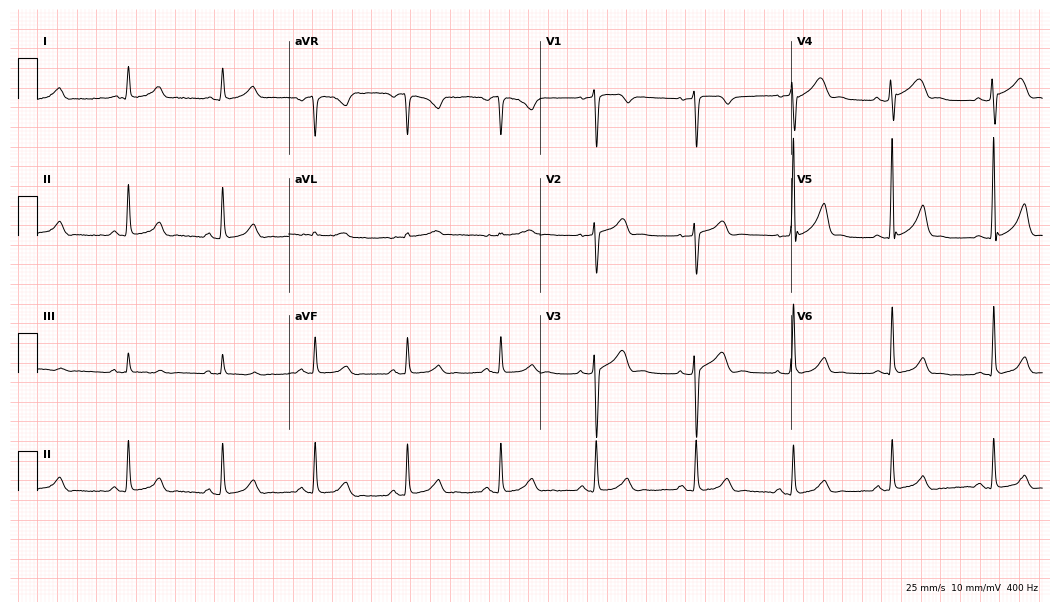
Resting 12-lead electrocardiogram. Patient: a 55-year-old male. Read as a normal ECG.